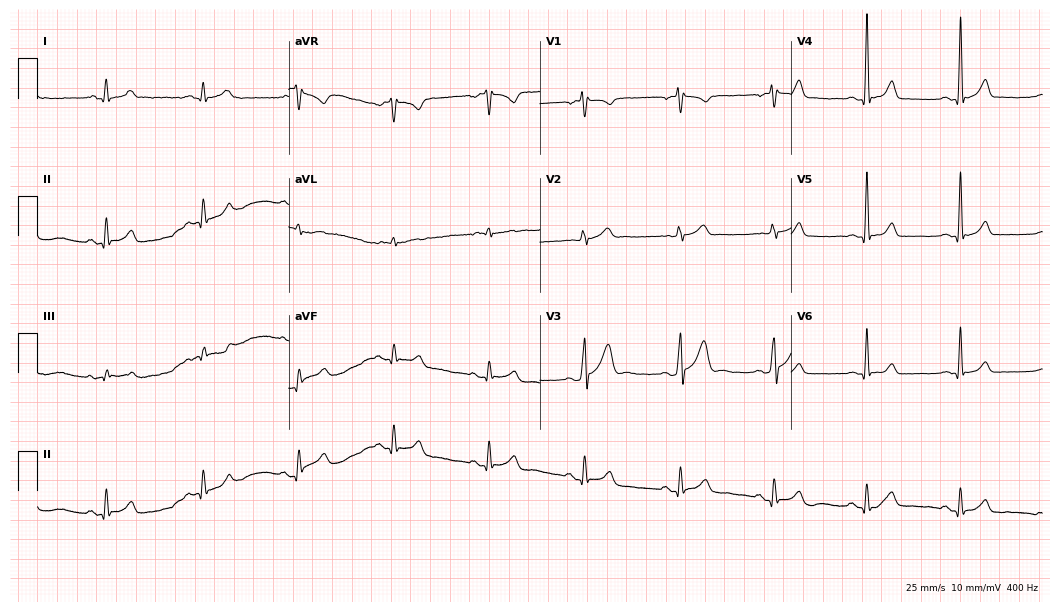
ECG (10.2-second recording at 400 Hz) — a 31-year-old man. Screened for six findings — first-degree AV block, right bundle branch block, left bundle branch block, sinus bradycardia, atrial fibrillation, sinus tachycardia — none is recorded.